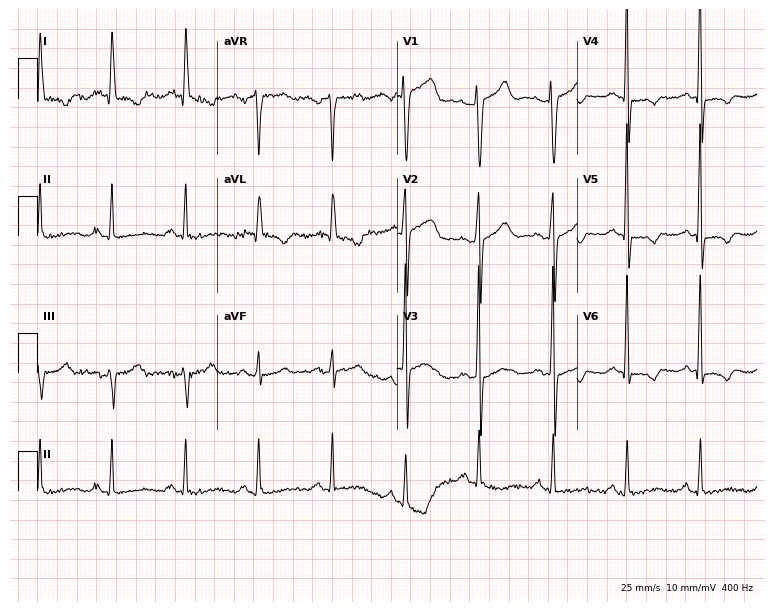
Resting 12-lead electrocardiogram. Patient: an 85-year-old woman. None of these six findings is recorded: first-degree AV block, right bundle branch block, left bundle branch block, sinus bradycardia, atrial fibrillation, sinus tachycardia.